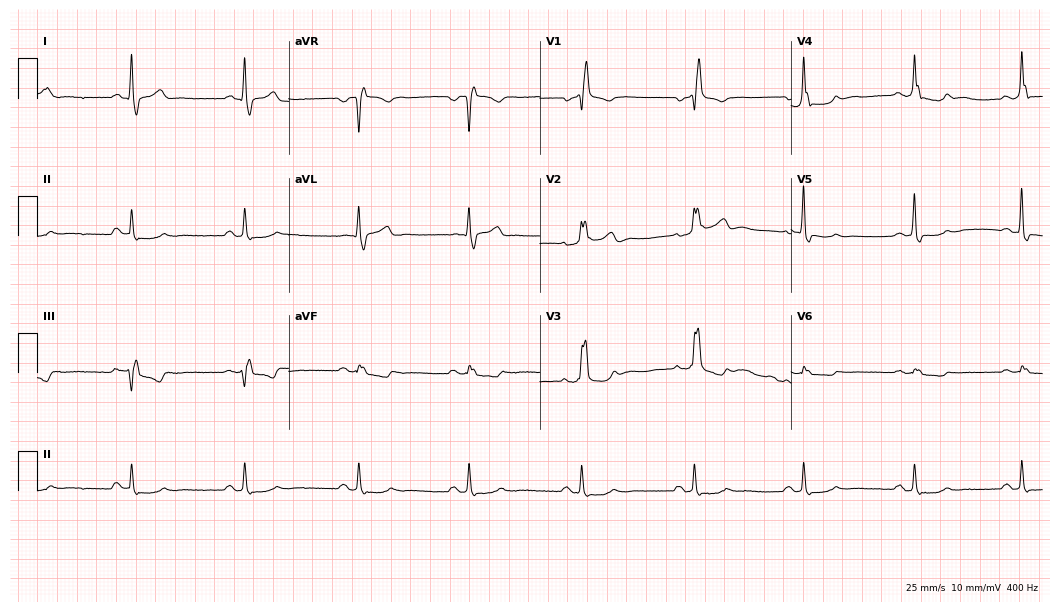
12-lead ECG from a 57-year-old male patient (10.2-second recording at 400 Hz). No first-degree AV block, right bundle branch block, left bundle branch block, sinus bradycardia, atrial fibrillation or sinus tachycardia recorded for this tracing.